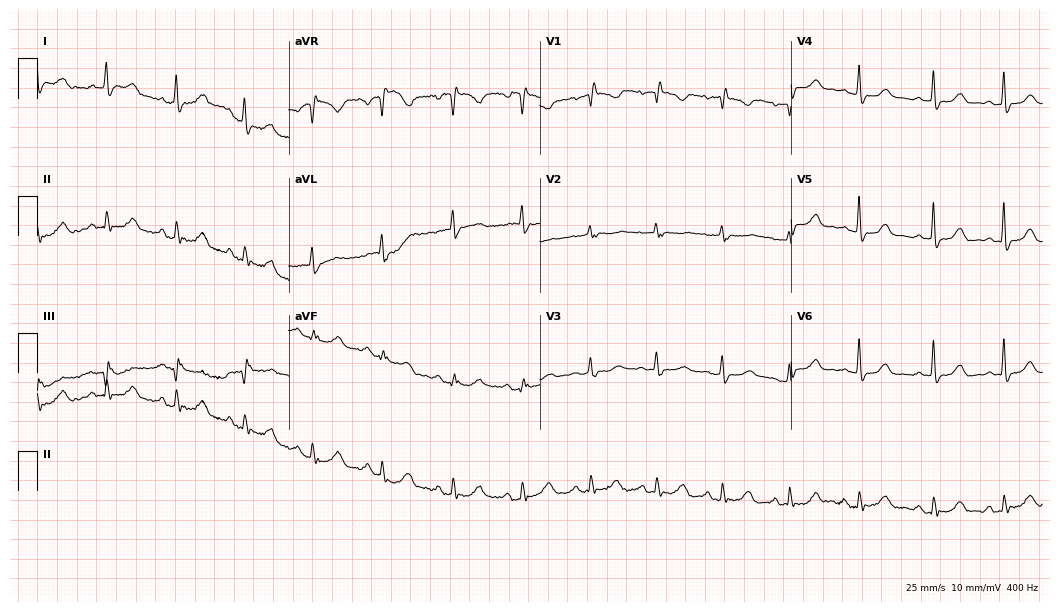
12-lead ECG from a 65-year-old woman. Screened for six findings — first-degree AV block, right bundle branch block, left bundle branch block, sinus bradycardia, atrial fibrillation, sinus tachycardia — none is recorded. Other findings, if any, are not listed.